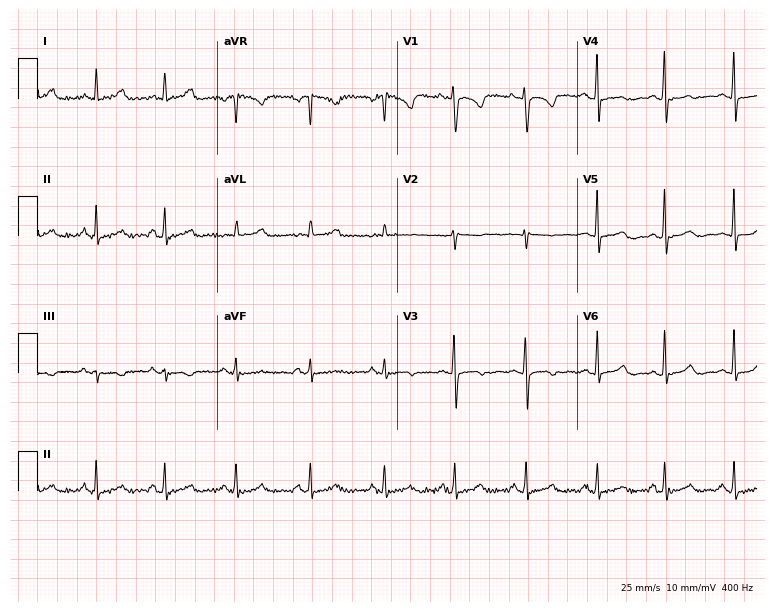
12-lead ECG from a 31-year-old female patient. Labelled as a normal ECG.